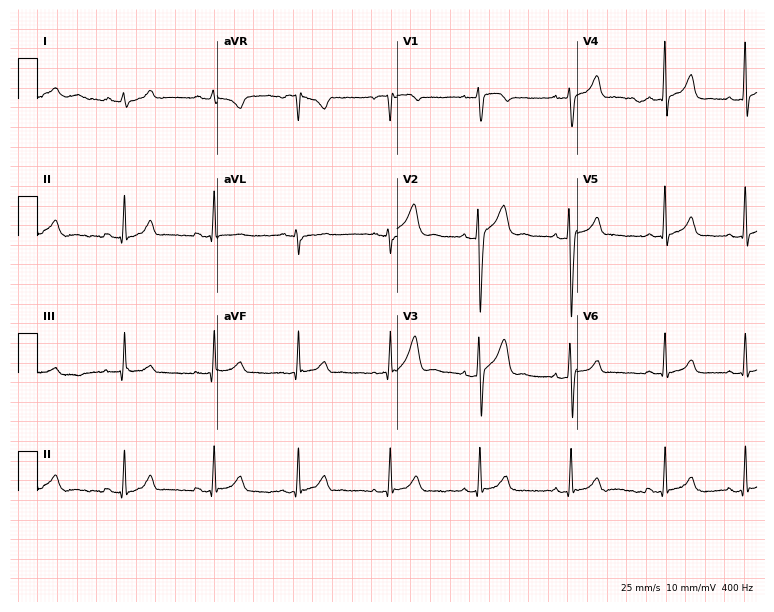
12-lead ECG from a 25-year-old male patient. Labelled as a normal ECG.